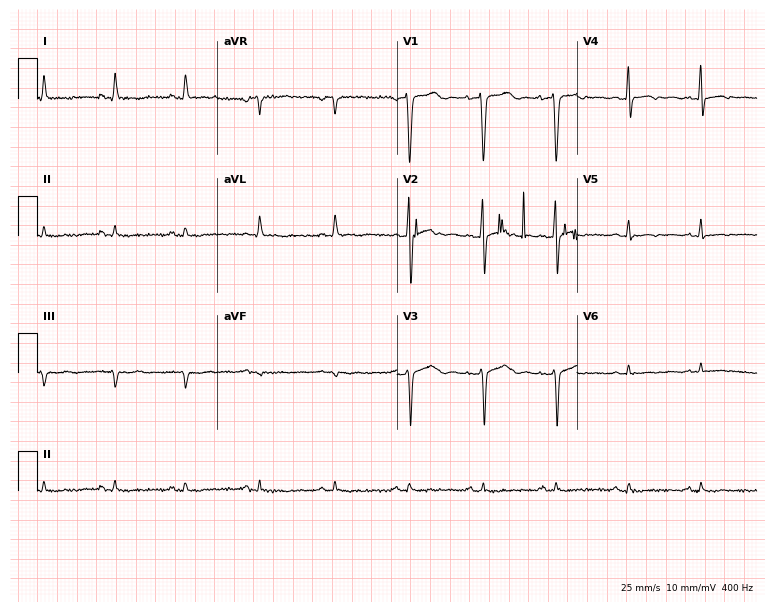
Electrocardiogram, a female, 67 years old. Of the six screened findings (first-degree AV block, right bundle branch block, left bundle branch block, sinus bradycardia, atrial fibrillation, sinus tachycardia), none is recorded. Findings outside these six are not listed.